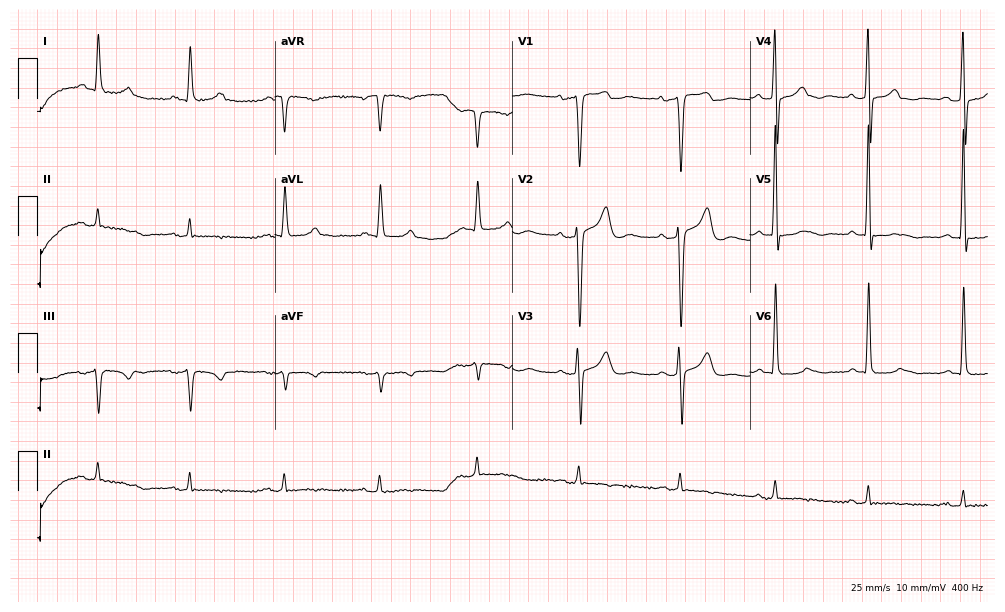
Resting 12-lead electrocardiogram (9.7-second recording at 400 Hz). Patient: a male, 69 years old. None of these six findings is recorded: first-degree AV block, right bundle branch block, left bundle branch block, sinus bradycardia, atrial fibrillation, sinus tachycardia.